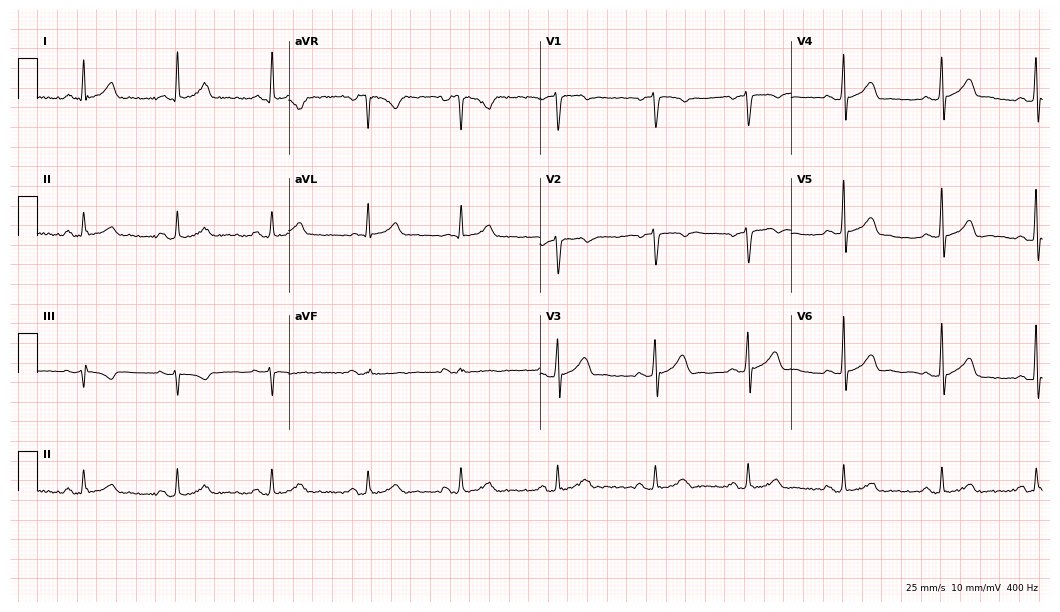
Resting 12-lead electrocardiogram (10.2-second recording at 400 Hz). Patient: a 47-year-old female. Read as a normal ECG.